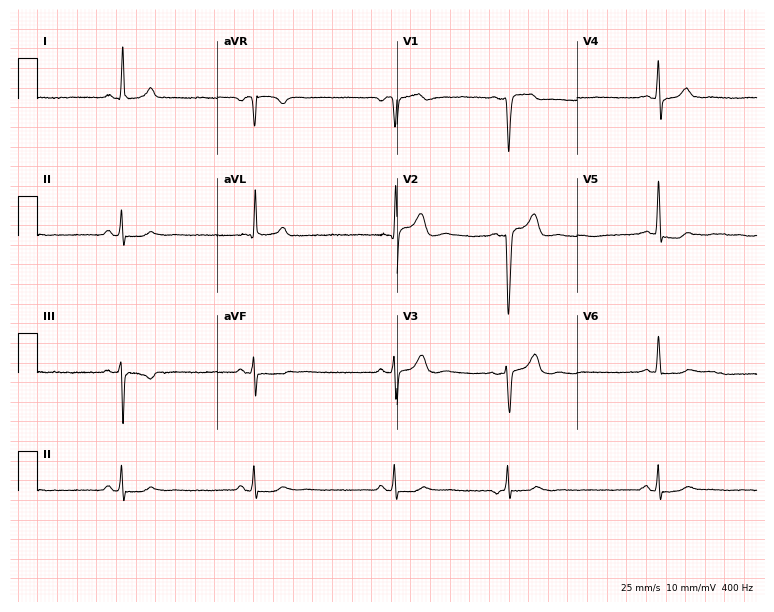
12-lead ECG (7.3-second recording at 400 Hz) from a male patient, 85 years old. Screened for six findings — first-degree AV block, right bundle branch block (RBBB), left bundle branch block (LBBB), sinus bradycardia, atrial fibrillation (AF), sinus tachycardia — none is recorded.